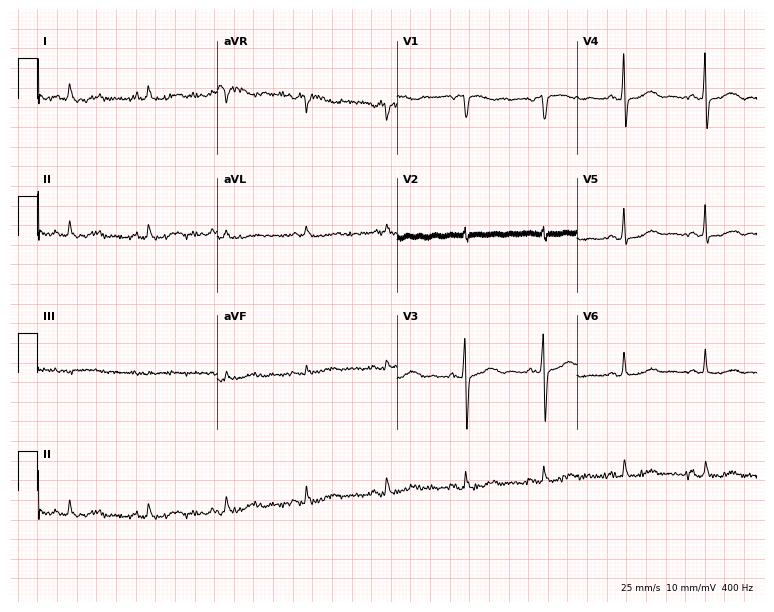
Electrocardiogram (7.3-second recording at 400 Hz), a 55-year-old female patient. Overall reading on record: normal ECG.